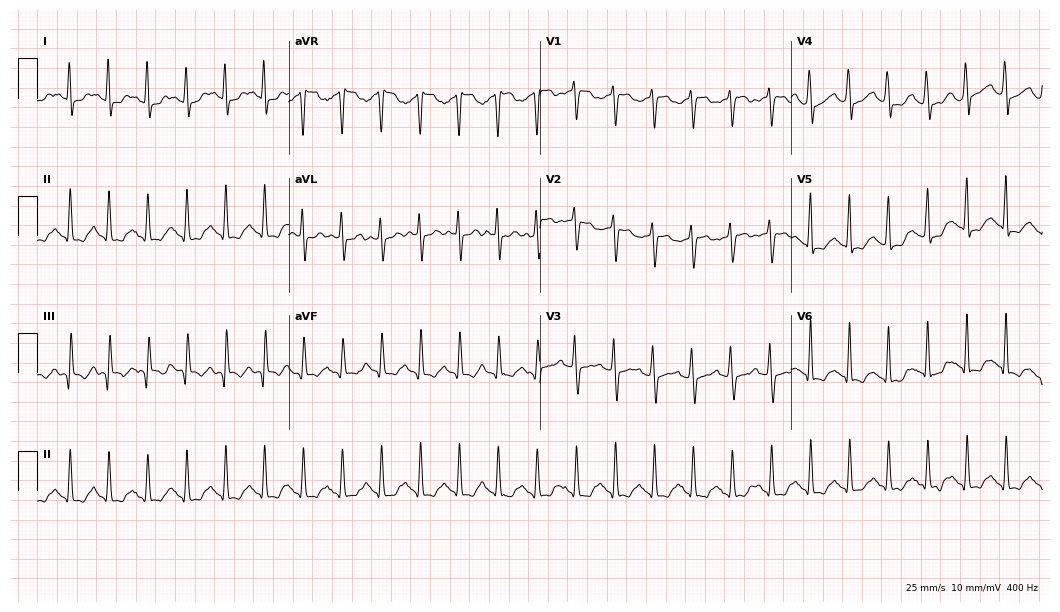
Resting 12-lead electrocardiogram (10.2-second recording at 400 Hz). Patient: a 28-year-old woman. None of these six findings is recorded: first-degree AV block, right bundle branch block (RBBB), left bundle branch block (LBBB), sinus bradycardia, atrial fibrillation (AF), sinus tachycardia.